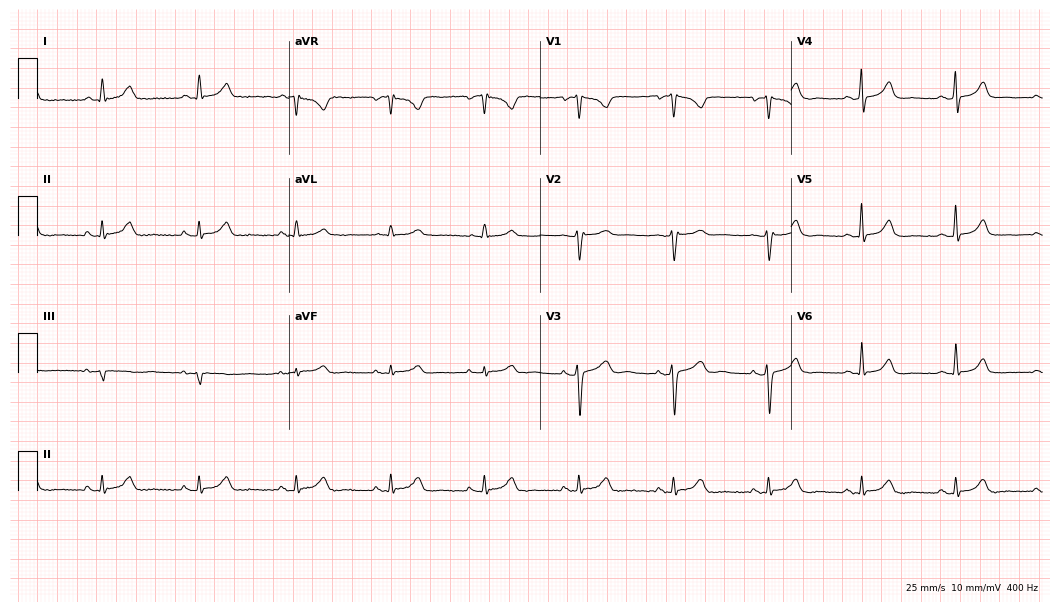
12-lead ECG from a 70-year-old female. Labelled as a normal ECG.